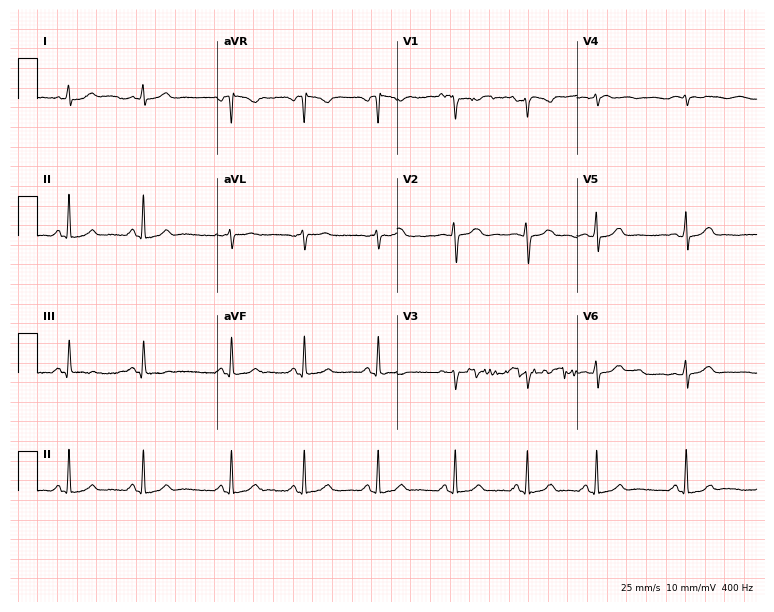
ECG — a woman, 18 years old. Labelled as a normal ECG.